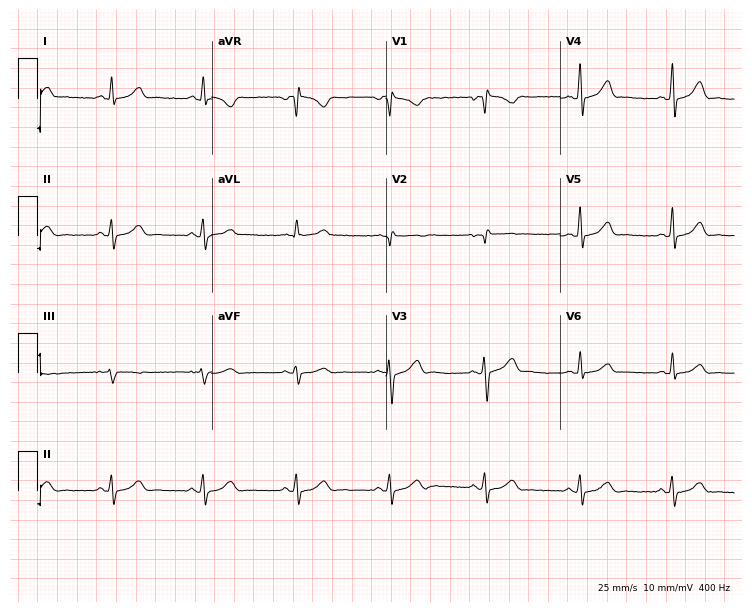
ECG (7.1-second recording at 400 Hz) — a female patient, 33 years old. Labelled as a normal ECG.